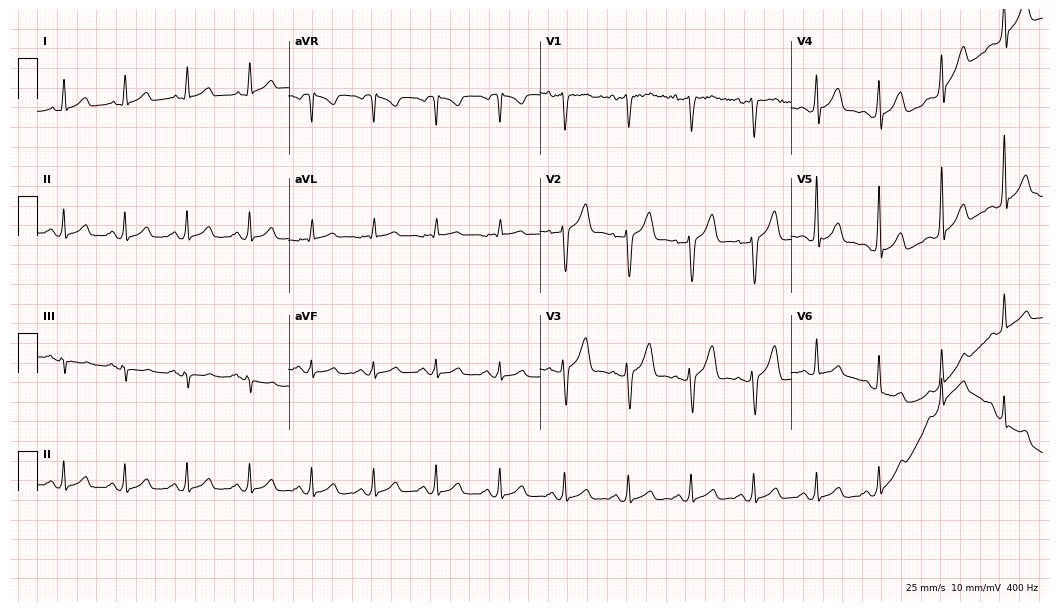
12-lead ECG from a 43-year-old male patient. Recorded interpretation: within normal limits.